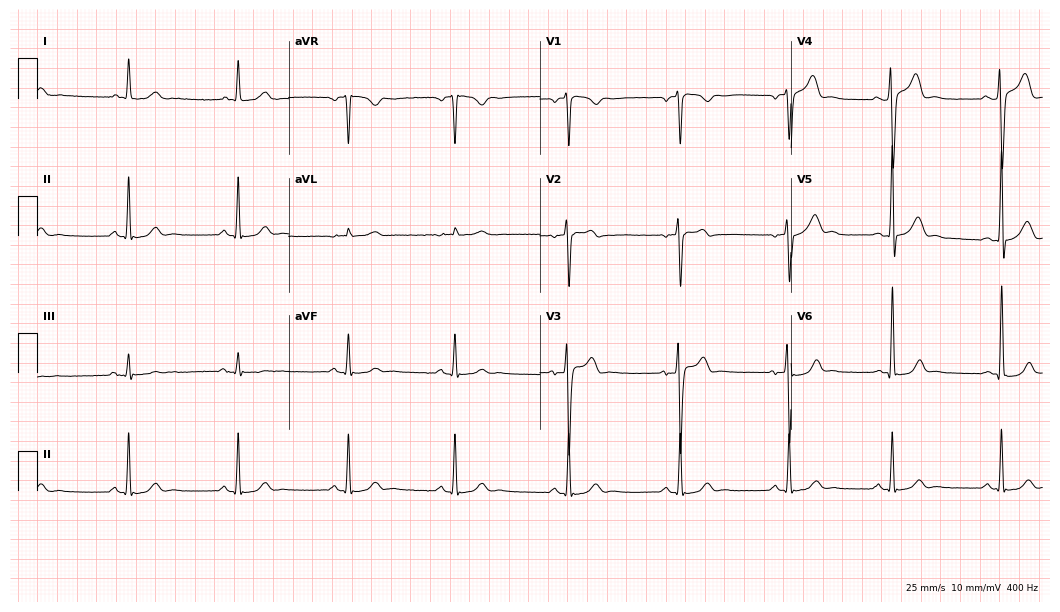
Electrocardiogram, a male patient, 24 years old. Overall reading on record: normal ECG.